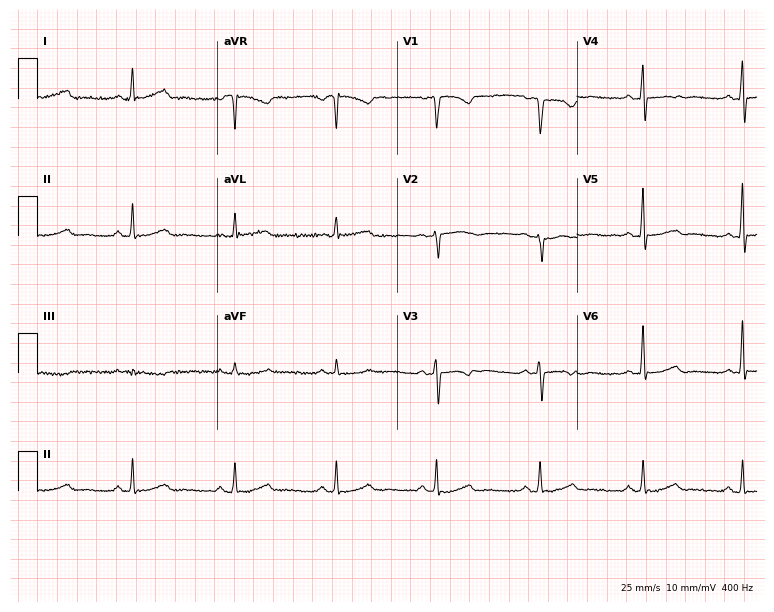
Resting 12-lead electrocardiogram (7.3-second recording at 400 Hz). Patient: a 57-year-old female. None of these six findings is recorded: first-degree AV block, right bundle branch block (RBBB), left bundle branch block (LBBB), sinus bradycardia, atrial fibrillation (AF), sinus tachycardia. Only these six findings were labelled.